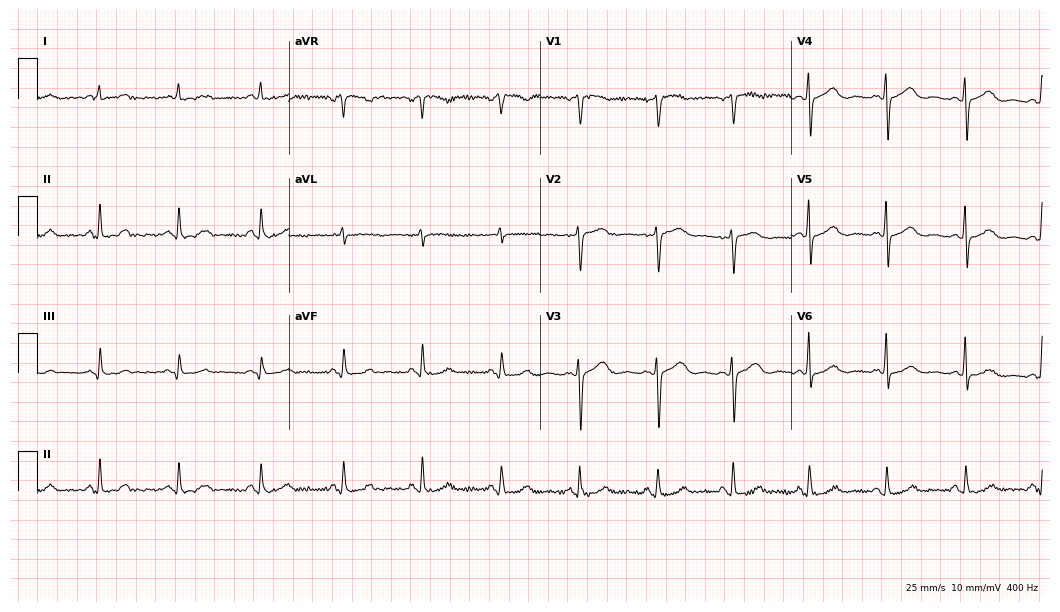
12-lead ECG from a 56-year-old female (10.2-second recording at 400 Hz). No first-degree AV block, right bundle branch block, left bundle branch block, sinus bradycardia, atrial fibrillation or sinus tachycardia recorded for this tracing.